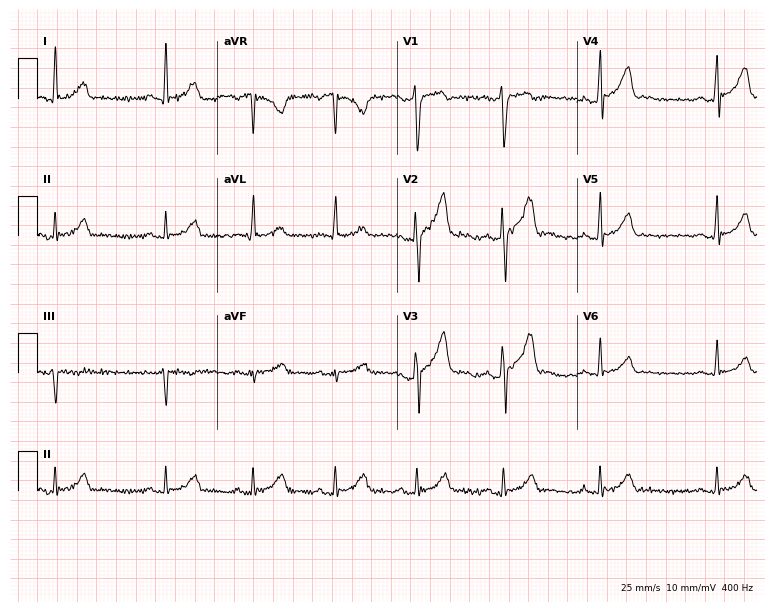
Resting 12-lead electrocardiogram (7.3-second recording at 400 Hz). Patient: a male, 24 years old. Read as a normal ECG.